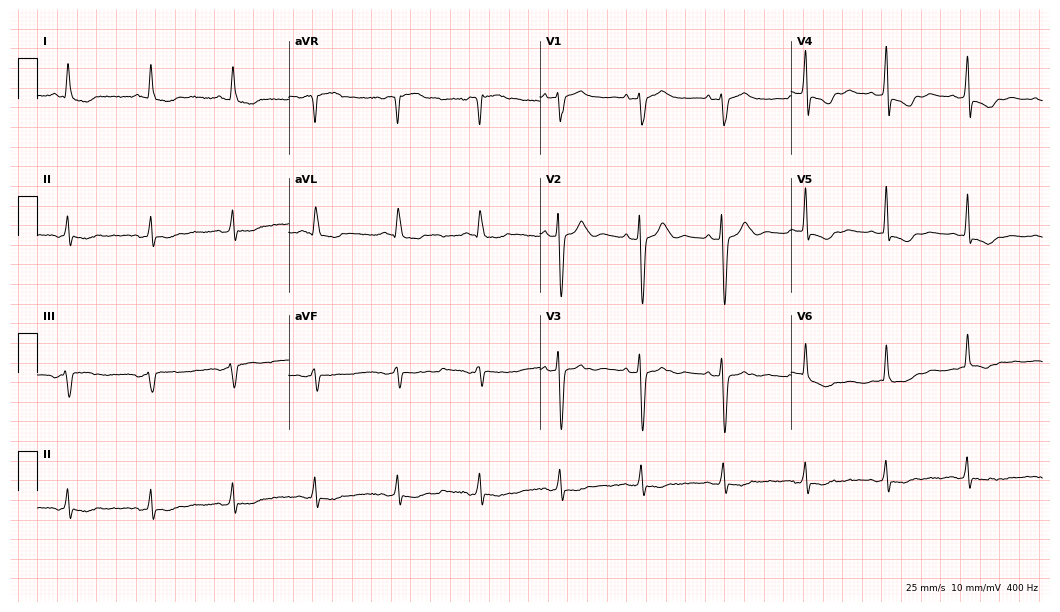
12-lead ECG from a 63-year-old female. Screened for six findings — first-degree AV block, right bundle branch block, left bundle branch block, sinus bradycardia, atrial fibrillation, sinus tachycardia — none is recorded. Other findings, if any, are not listed.